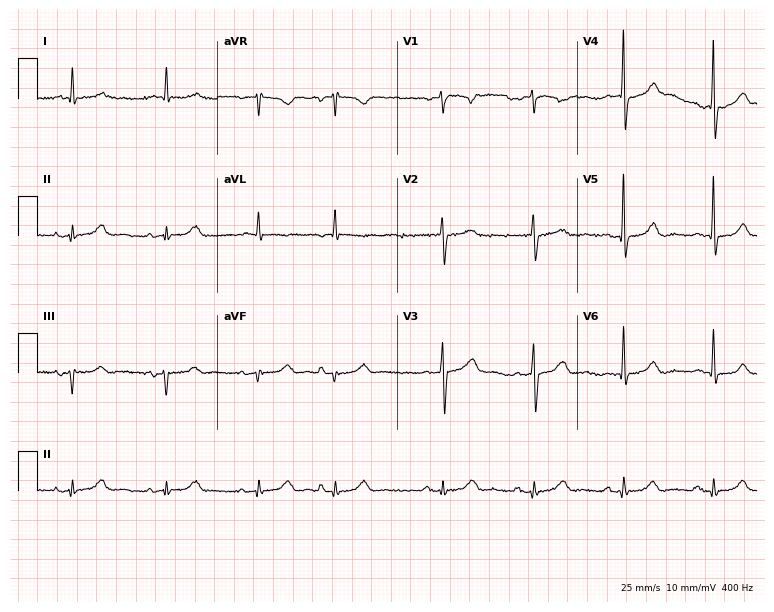
12-lead ECG from a man, 73 years old. No first-degree AV block, right bundle branch block, left bundle branch block, sinus bradycardia, atrial fibrillation or sinus tachycardia recorded for this tracing.